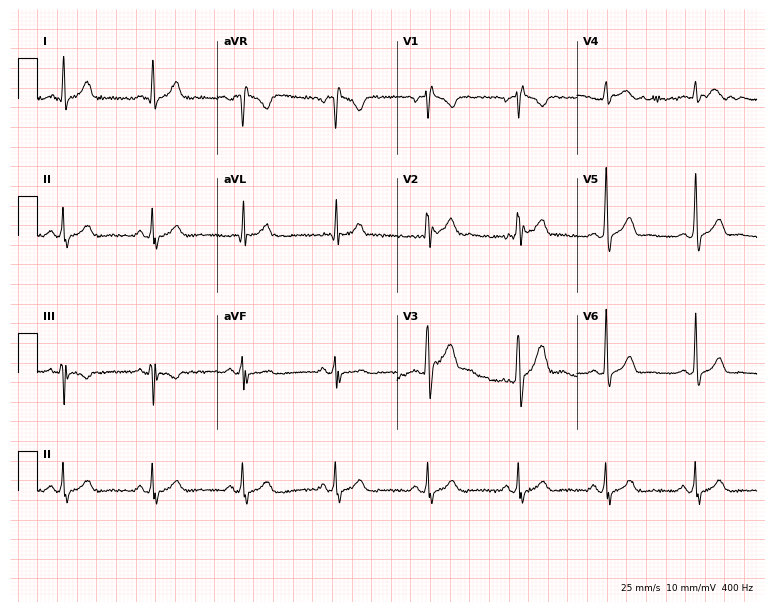
Resting 12-lead electrocardiogram. Patient: a man, 37 years old. None of these six findings is recorded: first-degree AV block, right bundle branch block (RBBB), left bundle branch block (LBBB), sinus bradycardia, atrial fibrillation (AF), sinus tachycardia.